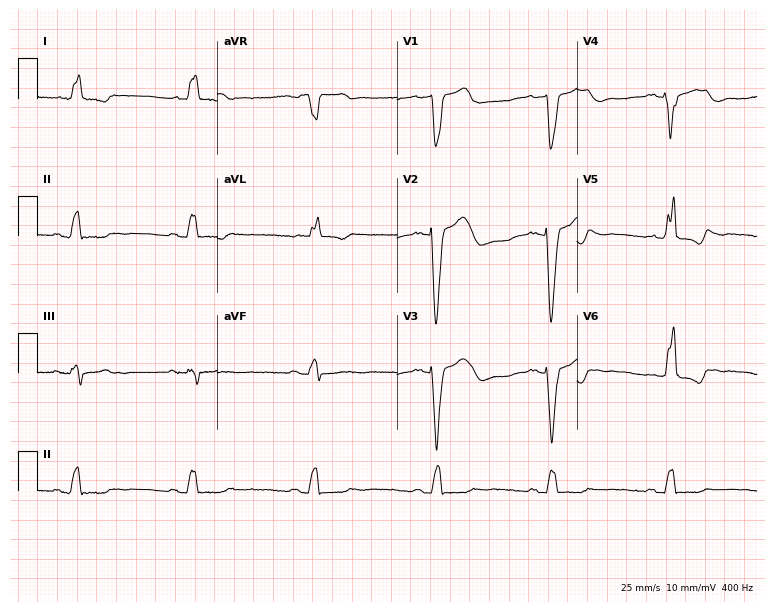
ECG (7.3-second recording at 400 Hz) — a man, 81 years old. Findings include right bundle branch block, left bundle branch block, sinus bradycardia (a sinus rate of 50 beats per minute or less).